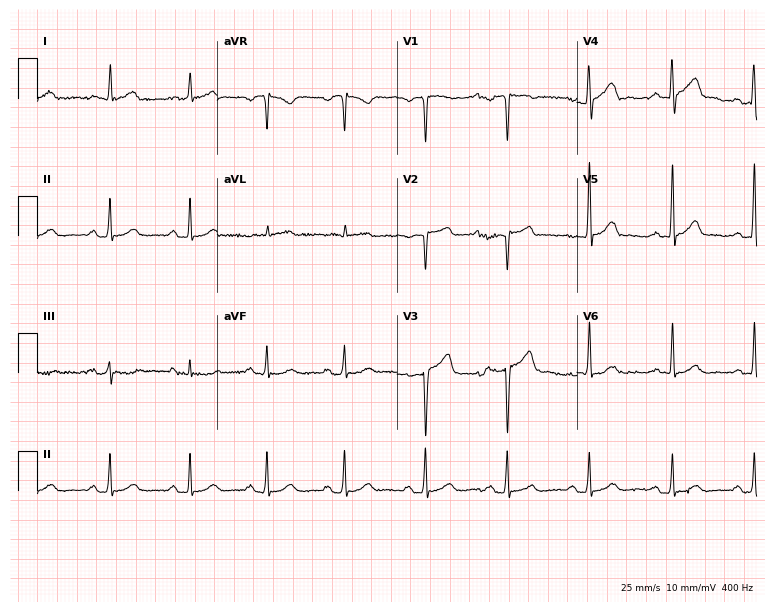
12-lead ECG from a 45-year-old male. No first-degree AV block, right bundle branch block, left bundle branch block, sinus bradycardia, atrial fibrillation or sinus tachycardia recorded for this tracing.